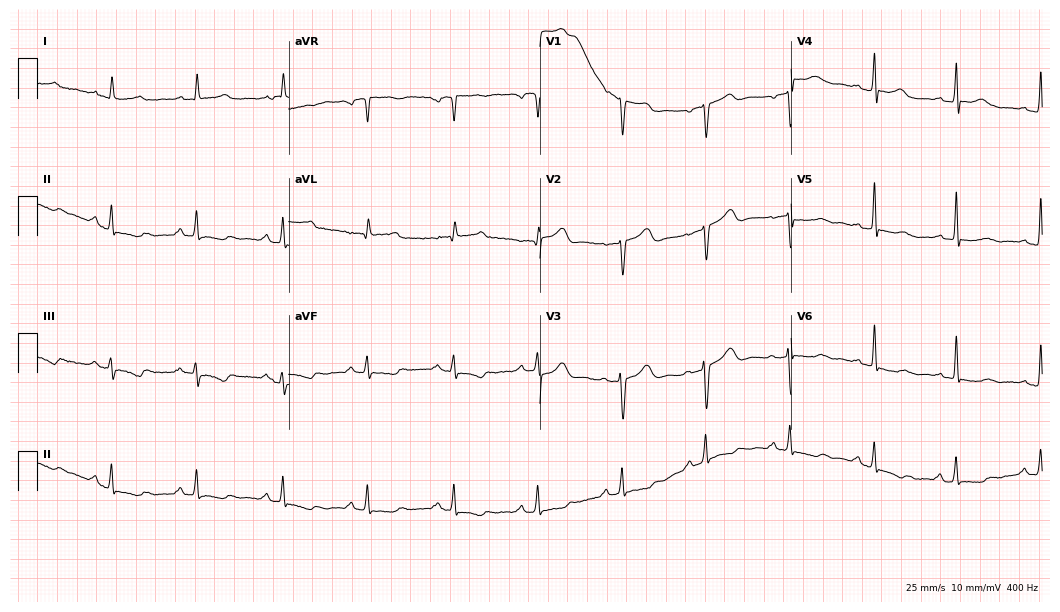
Resting 12-lead electrocardiogram. Patient: a woman, 67 years old. Read as a normal ECG.